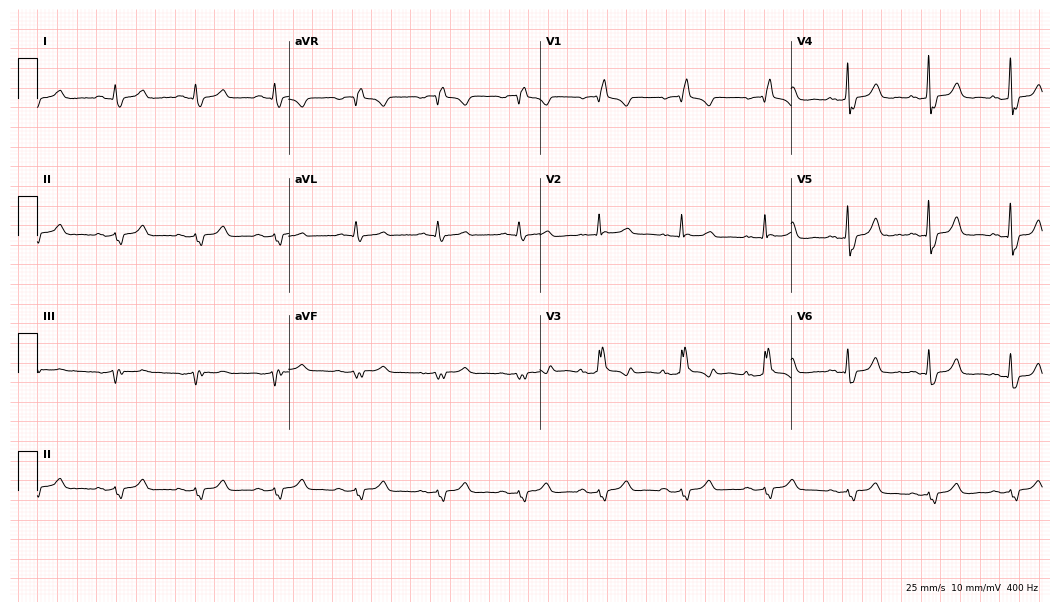
Standard 12-lead ECG recorded from a 56-year-old woman (10.2-second recording at 400 Hz). None of these six findings is recorded: first-degree AV block, right bundle branch block (RBBB), left bundle branch block (LBBB), sinus bradycardia, atrial fibrillation (AF), sinus tachycardia.